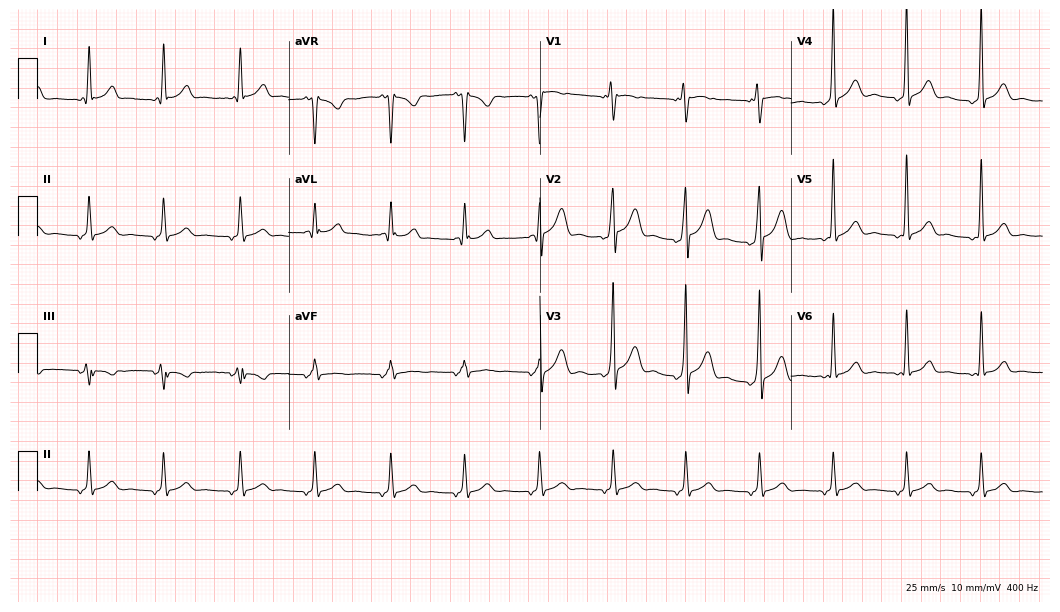
12-lead ECG from a male, 45 years old. No first-degree AV block, right bundle branch block (RBBB), left bundle branch block (LBBB), sinus bradycardia, atrial fibrillation (AF) or sinus tachycardia recorded for this tracing. Other findings, if any, are not listed.